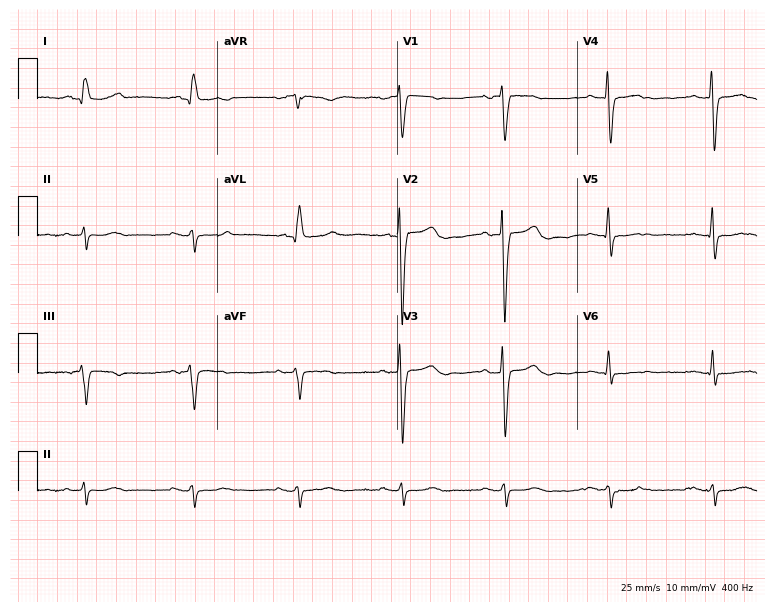
Standard 12-lead ECG recorded from an 81-year-old female patient. None of these six findings is recorded: first-degree AV block, right bundle branch block, left bundle branch block, sinus bradycardia, atrial fibrillation, sinus tachycardia. Findings outside these six are not listed.